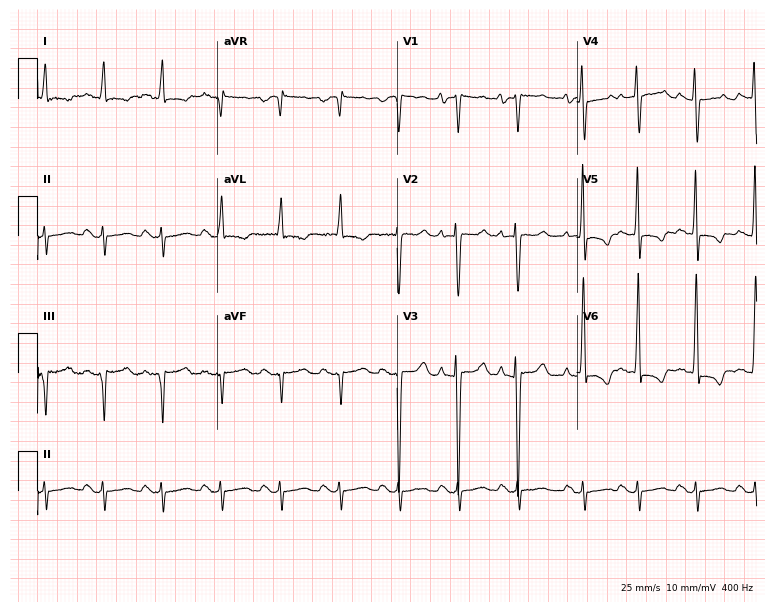
ECG (7.3-second recording at 400 Hz) — a female, 75 years old. Screened for six findings — first-degree AV block, right bundle branch block (RBBB), left bundle branch block (LBBB), sinus bradycardia, atrial fibrillation (AF), sinus tachycardia — none is recorded.